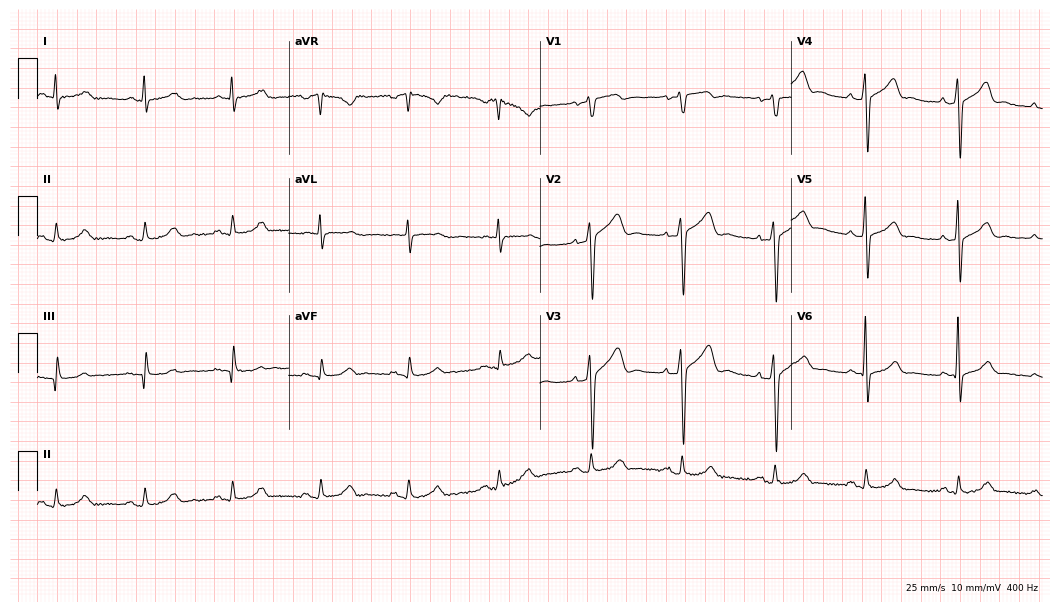
ECG (10.2-second recording at 400 Hz) — a man, 58 years old. Labelled as a normal ECG.